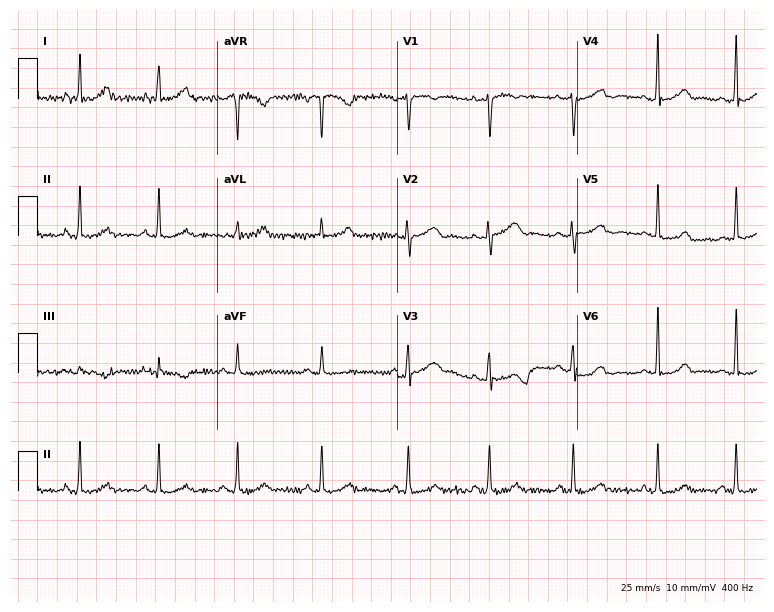
Standard 12-lead ECG recorded from a woman, 23 years old (7.3-second recording at 400 Hz). Read as a normal ECG.